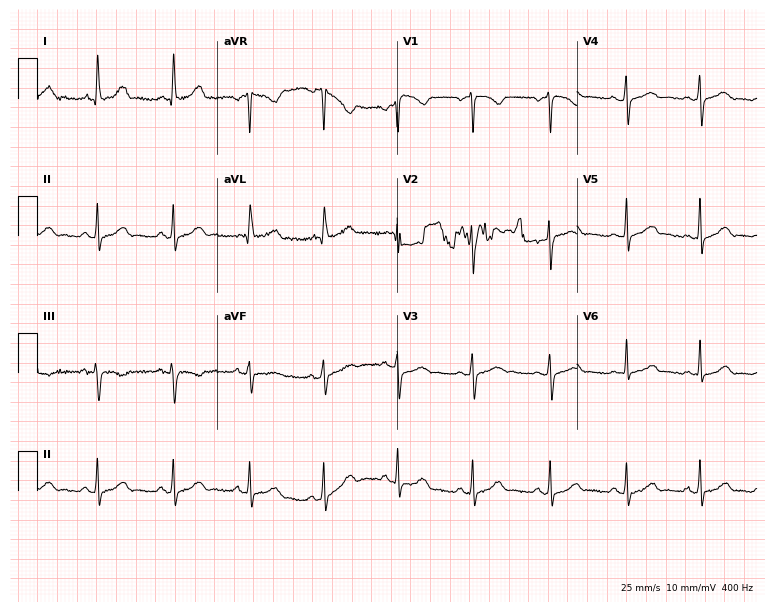
12-lead ECG from a woman, 32 years old (7.3-second recording at 400 Hz). Recorded interpretation: within normal limits.